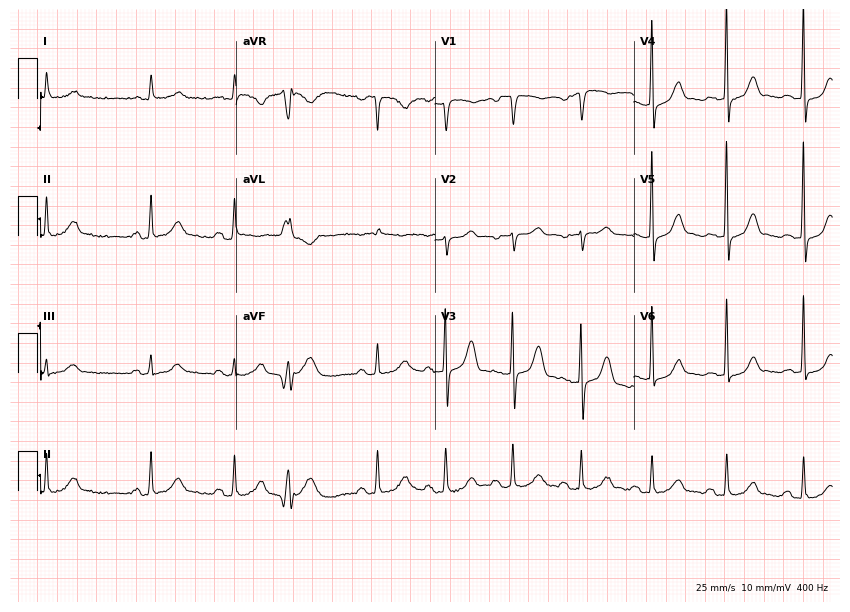
Electrocardiogram (8.1-second recording at 400 Hz), a man, 67 years old. Overall reading on record: normal ECG.